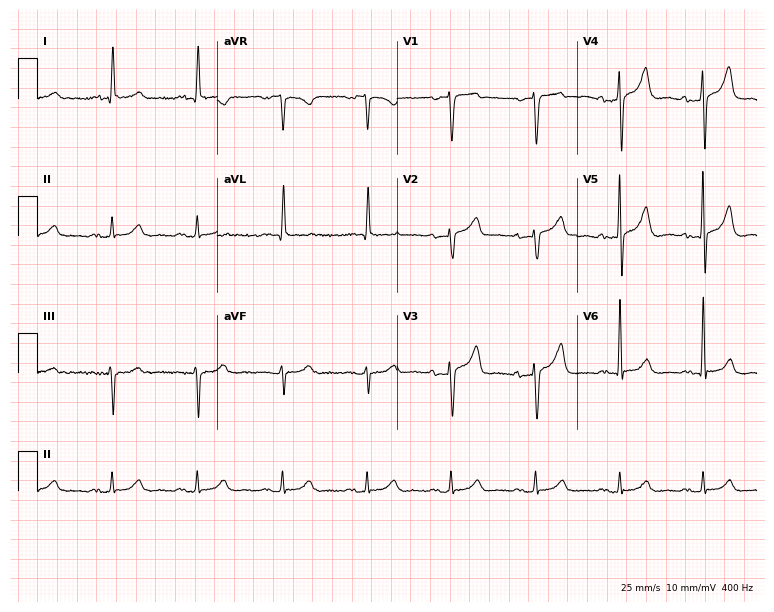
12-lead ECG from a male patient, 62 years old. Recorded interpretation: within normal limits.